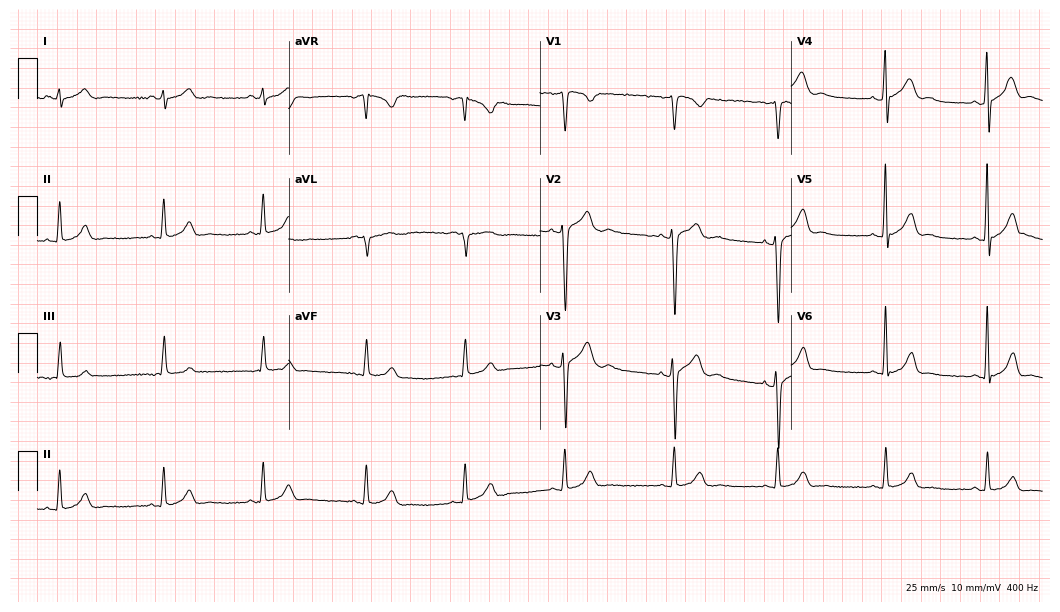
Electrocardiogram (10.2-second recording at 400 Hz), a man, 26 years old. Overall reading on record: normal ECG.